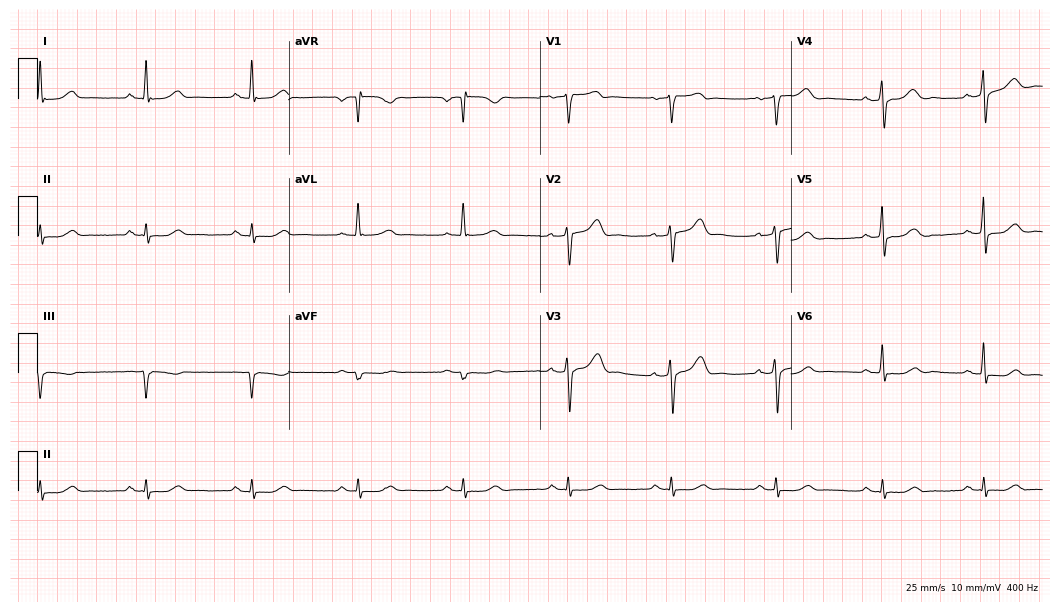
ECG (10.2-second recording at 400 Hz) — a man, 53 years old. Labelled as a normal ECG.